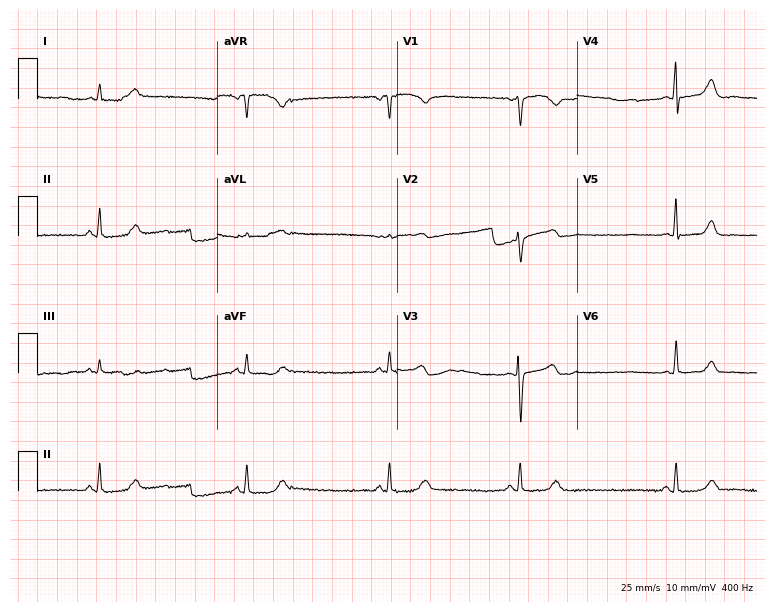
12-lead ECG from a woman, 45 years old (7.3-second recording at 400 Hz). Shows sinus bradycardia (a sinus rate of 50 beats per minute or less).